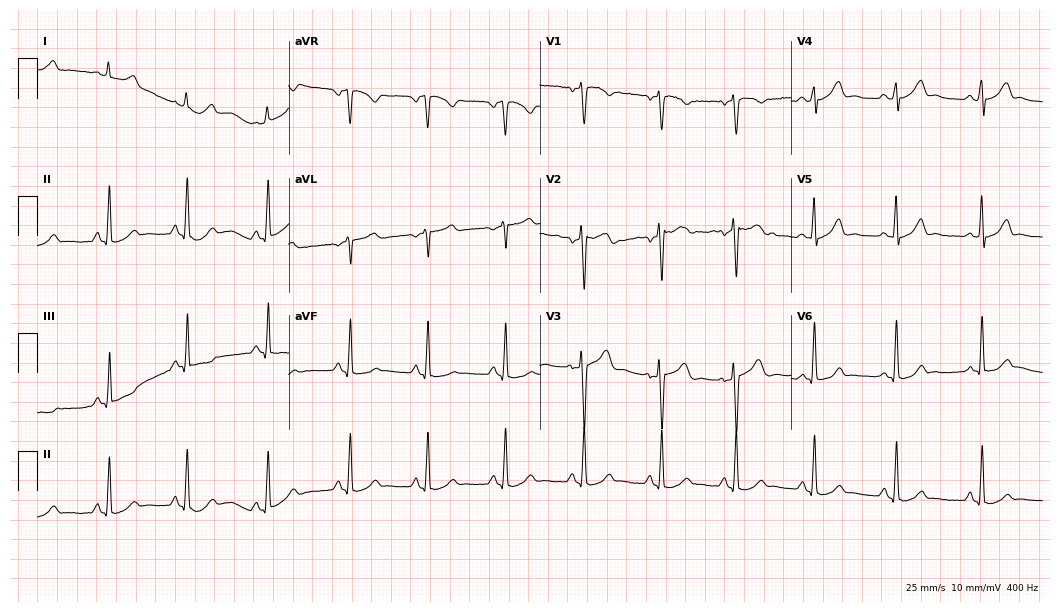
Resting 12-lead electrocardiogram (10.2-second recording at 400 Hz). Patient: a 39-year-old female. Read as a normal ECG.